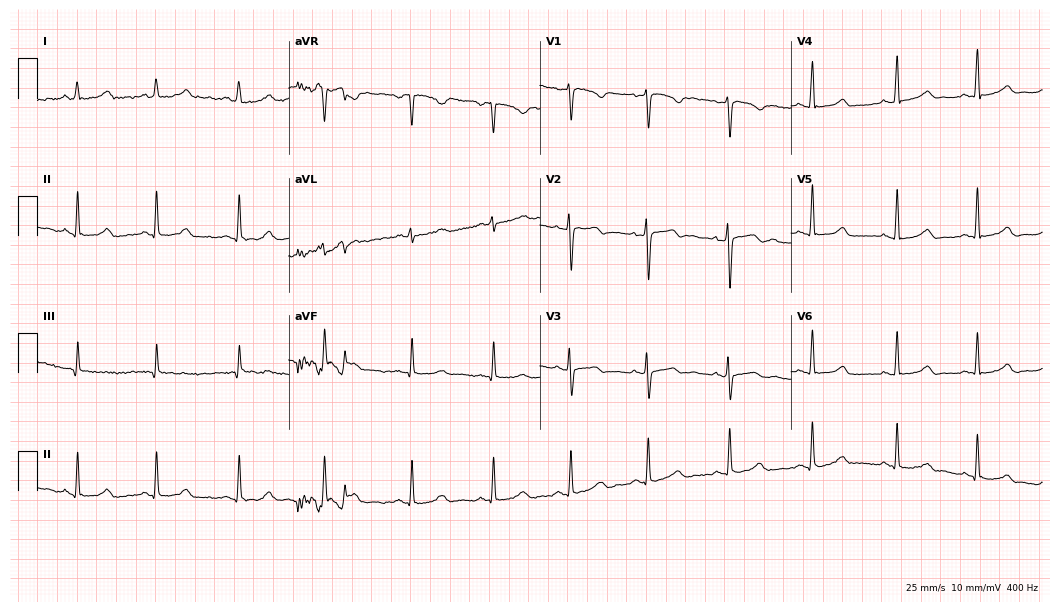
12-lead ECG from a 39-year-old female. Labelled as a normal ECG.